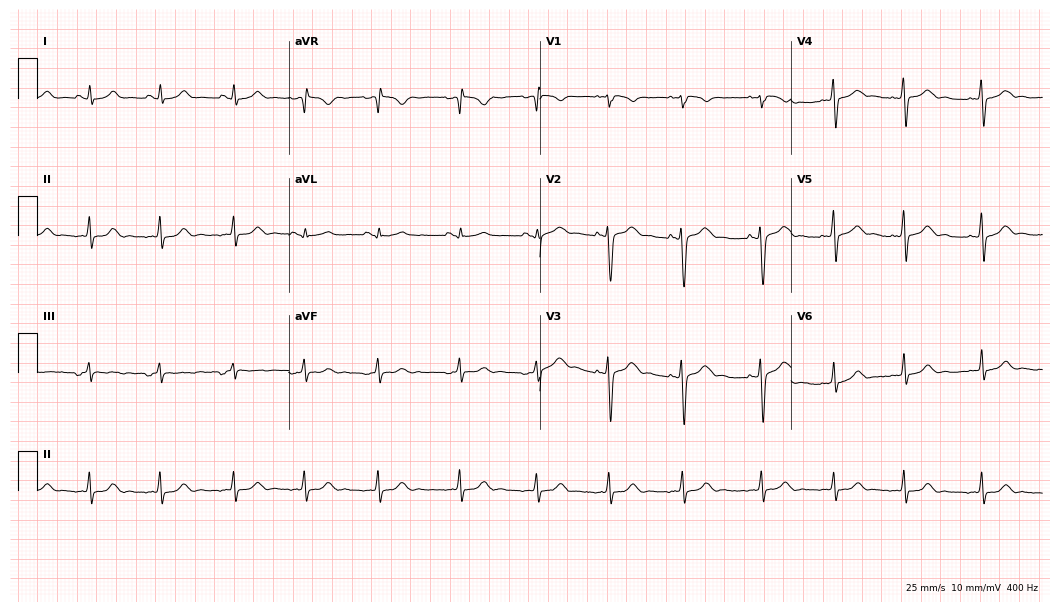
Electrocardiogram (10.2-second recording at 400 Hz), a female, 23 years old. Overall reading on record: normal ECG.